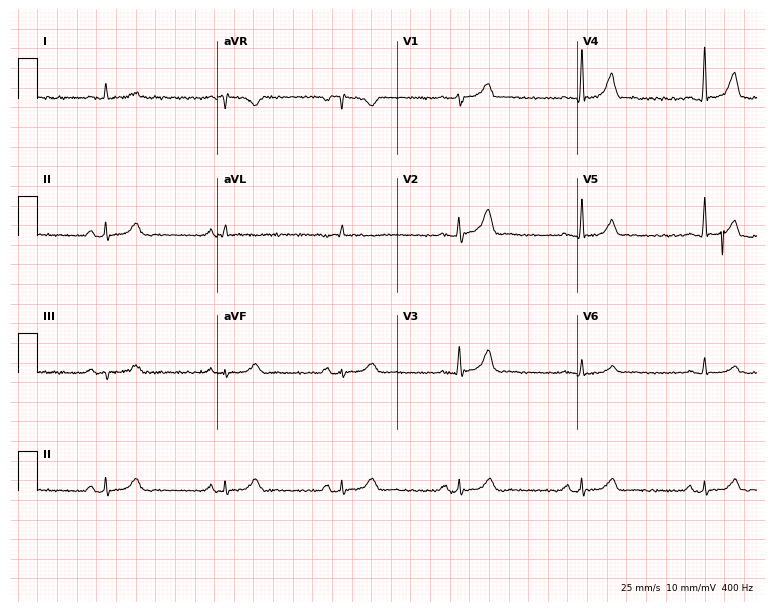
12-lead ECG (7.3-second recording at 400 Hz) from a 51-year-old man. Findings include sinus bradycardia (a sinus rate of 50 beats per minute or less).